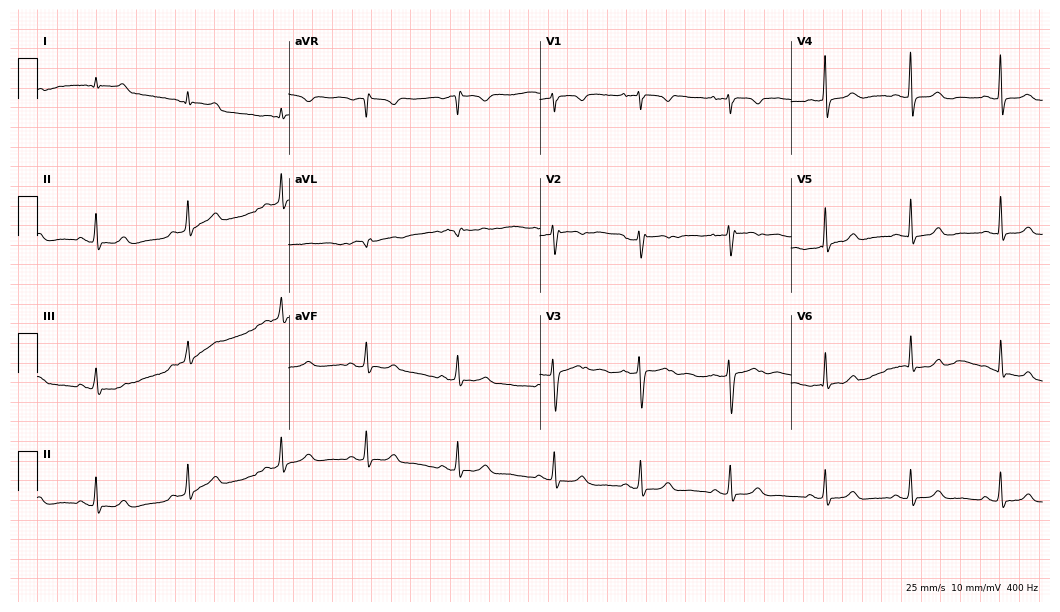
12-lead ECG from a 29-year-old female. Labelled as a normal ECG.